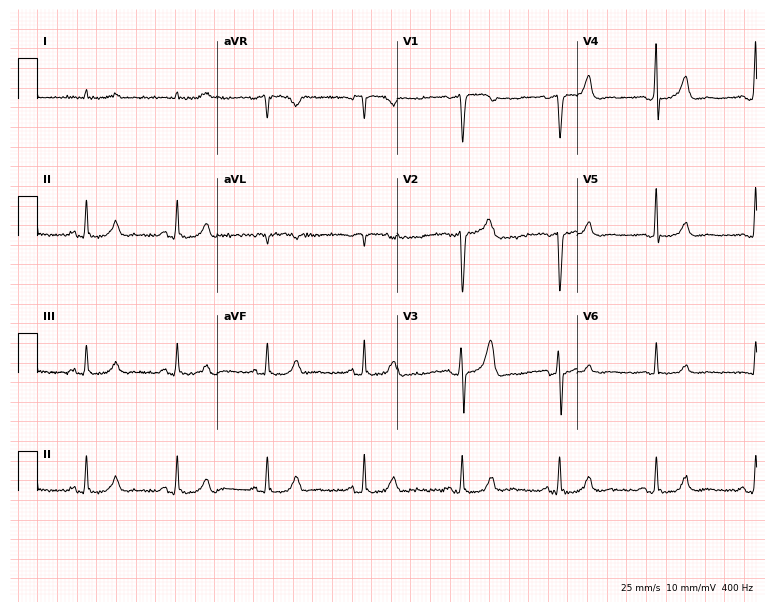
Resting 12-lead electrocardiogram. Patient: a 59-year-old male. Read as a normal ECG.